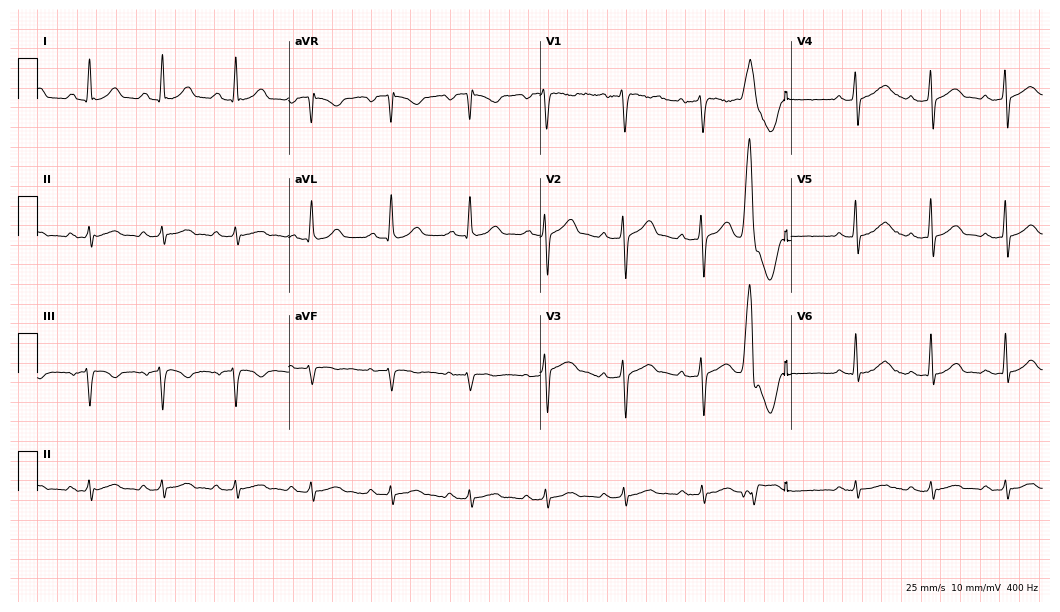
Standard 12-lead ECG recorded from a 28-year-old male. None of these six findings is recorded: first-degree AV block, right bundle branch block (RBBB), left bundle branch block (LBBB), sinus bradycardia, atrial fibrillation (AF), sinus tachycardia.